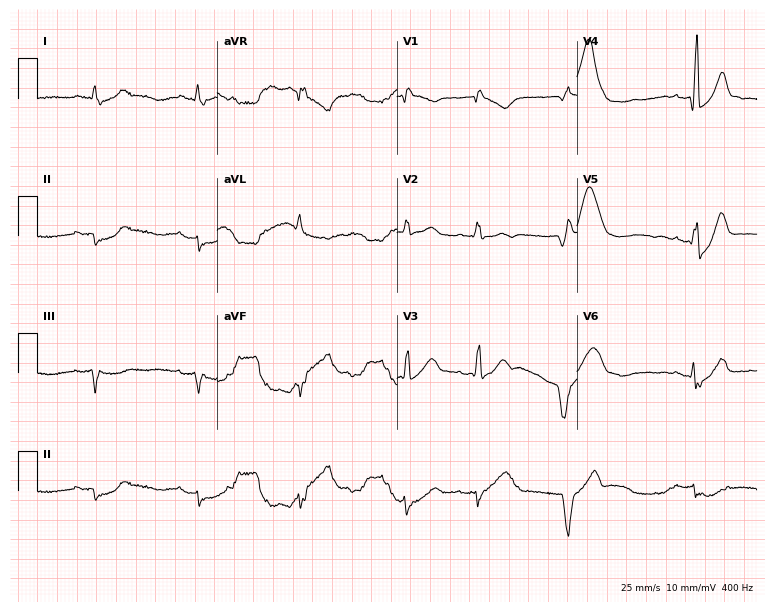
Resting 12-lead electrocardiogram. Patient: an 85-year-old male. The tracing shows right bundle branch block, atrial fibrillation.